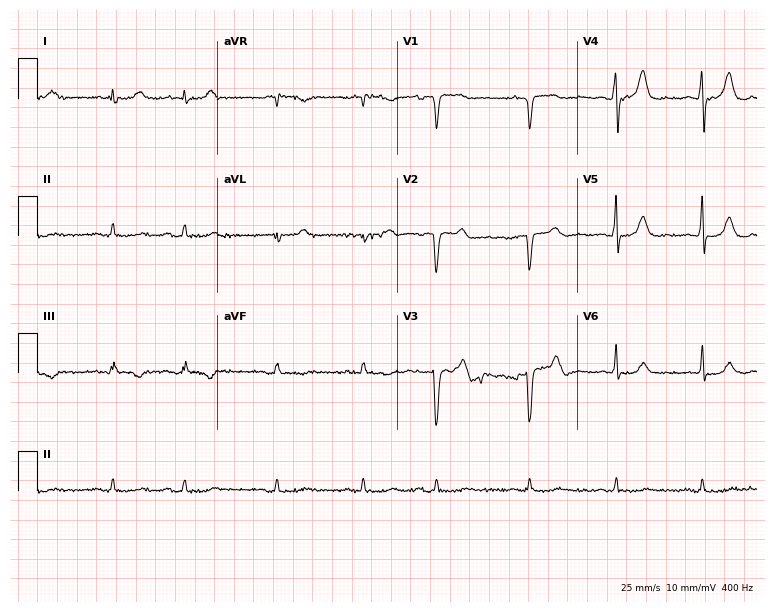
12-lead ECG from a 76-year-old male patient. No first-degree AV block, right bundle branch block, left bundle branch block, sinus bradycardia, atrial fibrillation or sinus tachycardia recorded for this tracing.